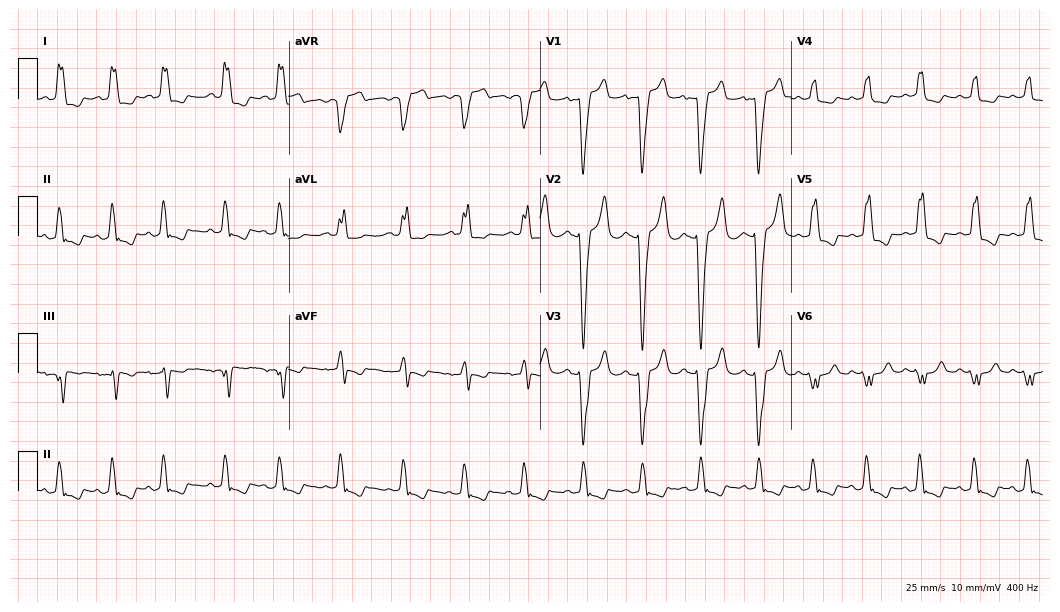
12-lead ECG from a female, 64 years old. Findings include left bundle branch block.